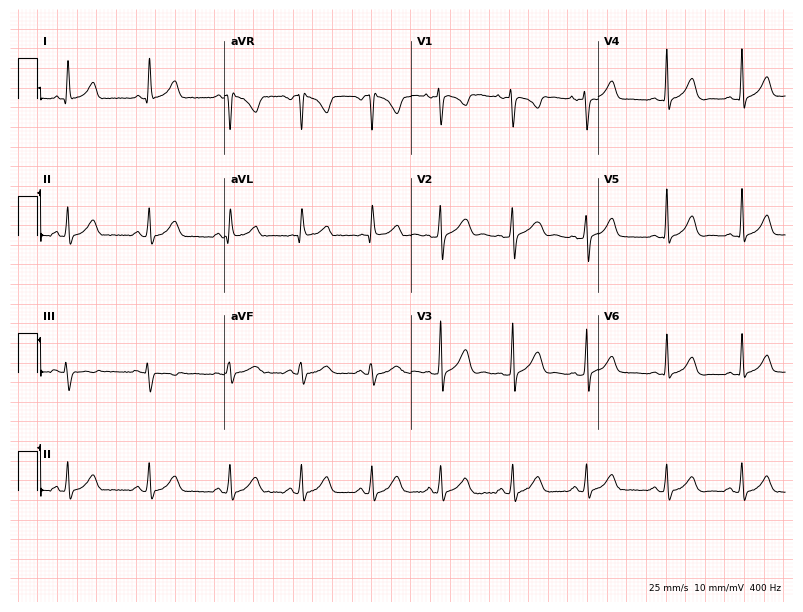
Resting 12-lead electrocardiogram (7.6-second recording at 400 Hz). Patient: an 18-year-old female. None of these six findings is recorded: first-degree AV block, right bundle branch block (RBBB), left bundle branch block (LBBB), sinus bradycardia, atrial fibrillation (AF), sinus tachycardia. Other findings, if any, are not listed.